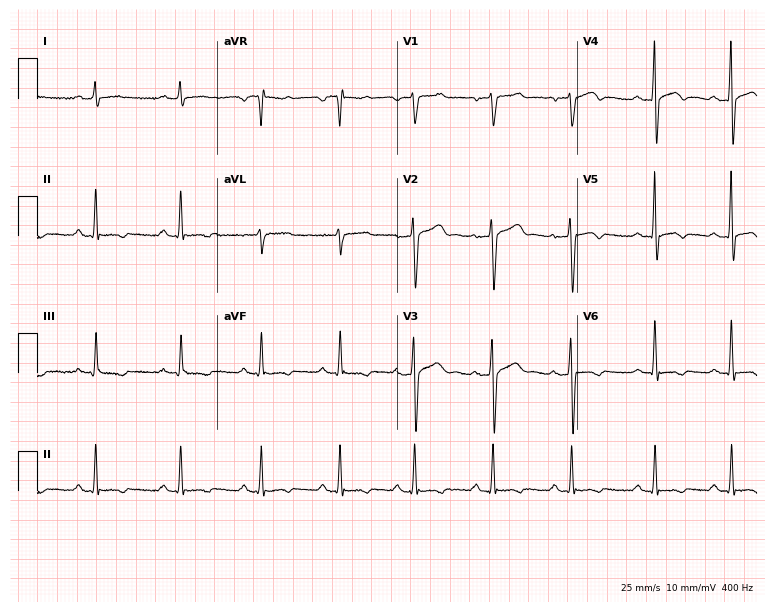
12-lead ECG from a male, 51 years old. Screened for six findings — first-degree AV block, right bundle branch block (RBBB), left bundle branch block (LBBB), sinus bradycardia, atrial fibrillation (AF), sinus tachycardia — none is recorded. Findings outside these six are not listed.